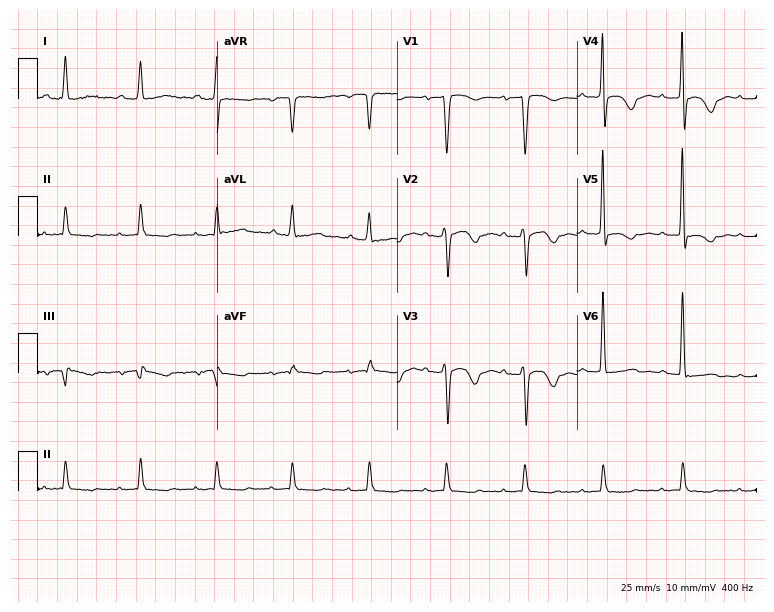
Electrocardiogram, a female, 65 years old. Of the six screened findings (first-degree AV block, right bundle branch block, left bundle branch block, sinus bradycardia, atrial fibrillation, sinus tachycardia), none is recorded. Findings outside these six are not listed.